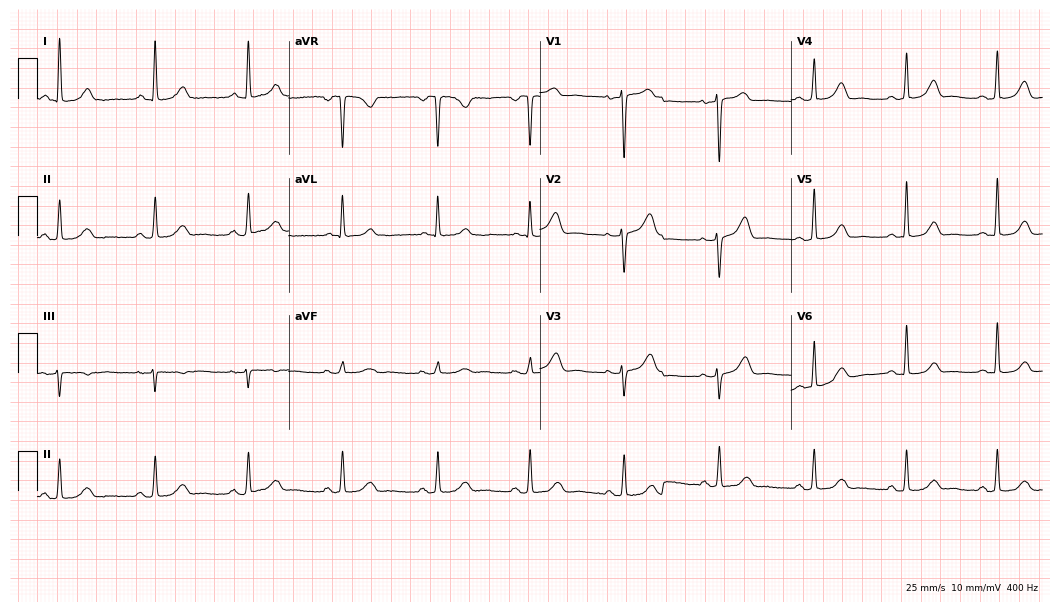
Electrocardiogram, a 58-year-old female patient. Of the six screened findings (first-degree AV block, right bundle branch block, left bundle branch block, sinus bradycardia, atrial fibrillation, sinus tachycardia), none is recorded. Only these six findings were labelled.